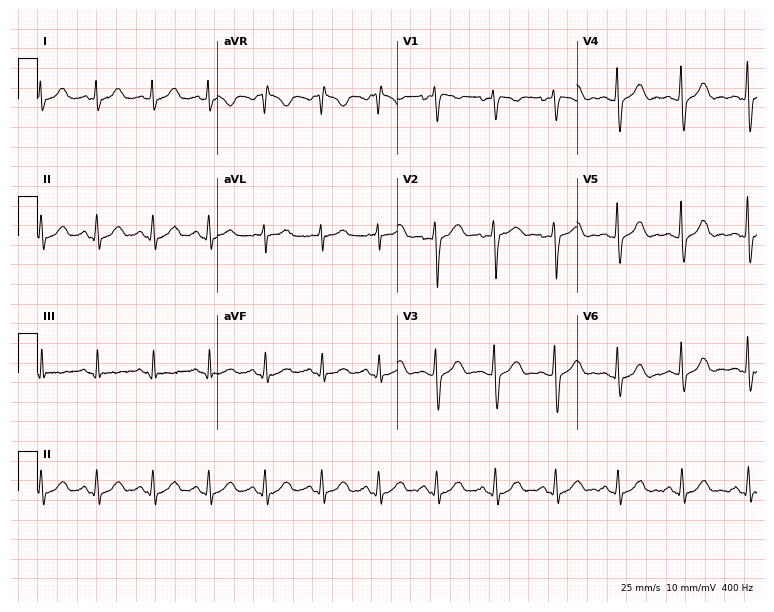
Electrocardiogram, a 39-year-old woman. Of the six screened findings (first-degree AV block, right bundle branch block (RBBB), left bundle branch block (LBBB), sinus bradycardia, atrial fibrillation (AF), sinus tachycardia), none is recorded.